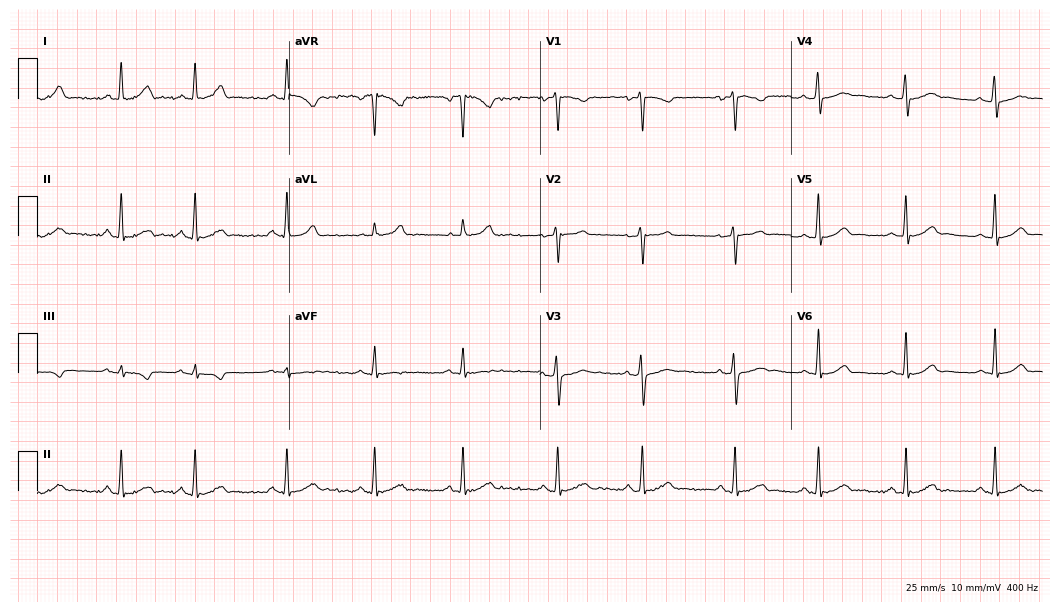
Standard 12-lead ECG recorded from a 30-year-old female patient. None of these six findings is recorded: first-degree AV block, right bundle branch block (RBBB), left bundle branch block (LBBB), sinus bradycardia, atrial fibrillation (AF), sinus tachycardia. Findings outside these six are not listed.